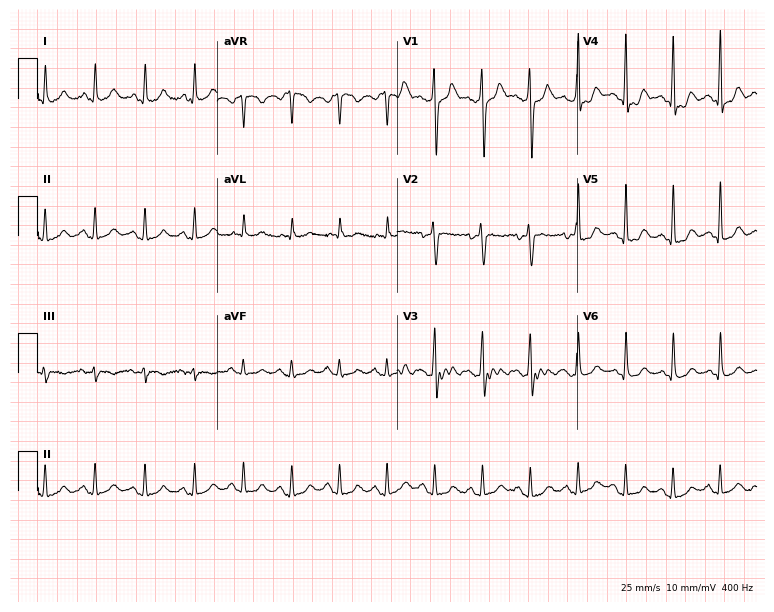
Standard 12-lead ECG recorded from a 40-year-old male. The tracing shows sinus tachycardia (a sinus rate of 100 beats per minute or more).